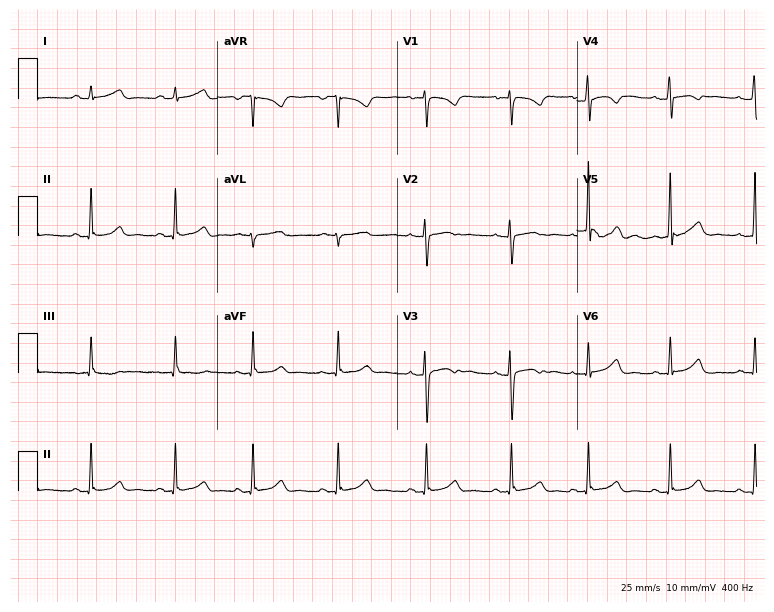
Electrocardiogram, a 24-year-old woman. Overall reading on record: normal ECG.